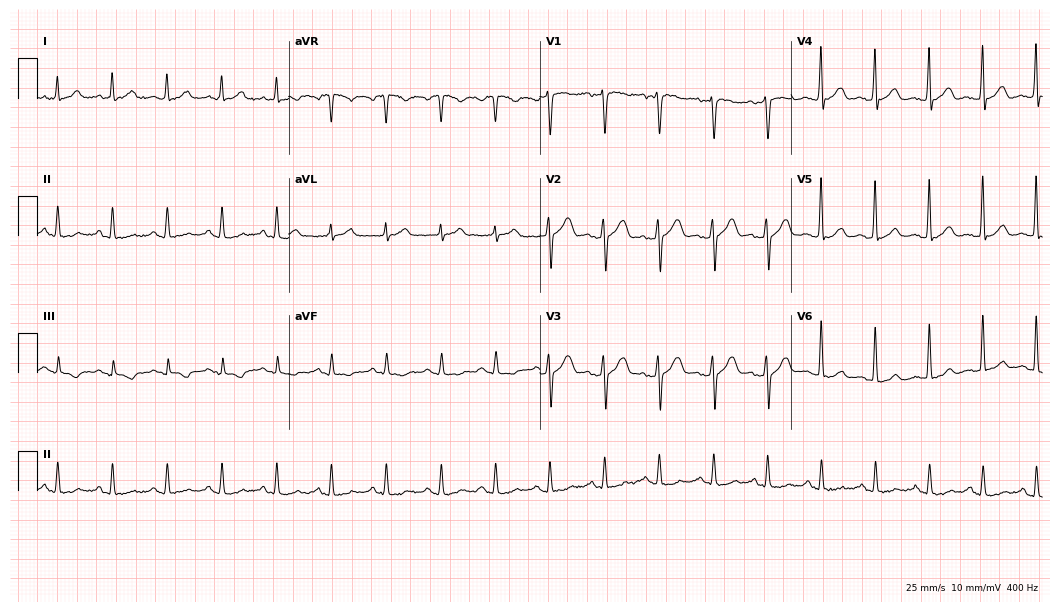
12-lead ECG from a 36-year-old man. Findings include sinus tachycardia (a sinus rate of 100 beats per minute or more).